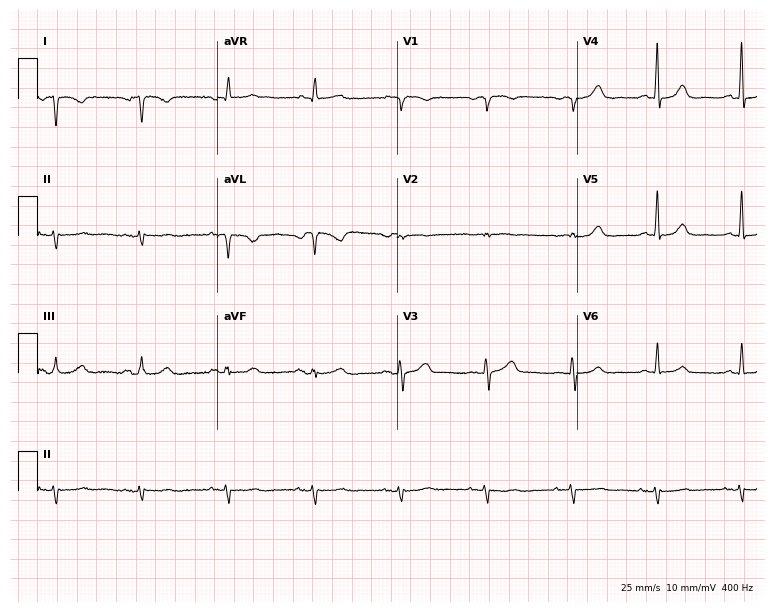
12-lead ECG (7.3-second recording at 400 Hz) from a 76-year-old female. Screened for six findings — first-degree AV block, right bundle branch block, left bundle branch block, sinus bradycardia, atrial fibrillation, sinus tachycardia — none is recorded. Other findings, if any, are not listed.